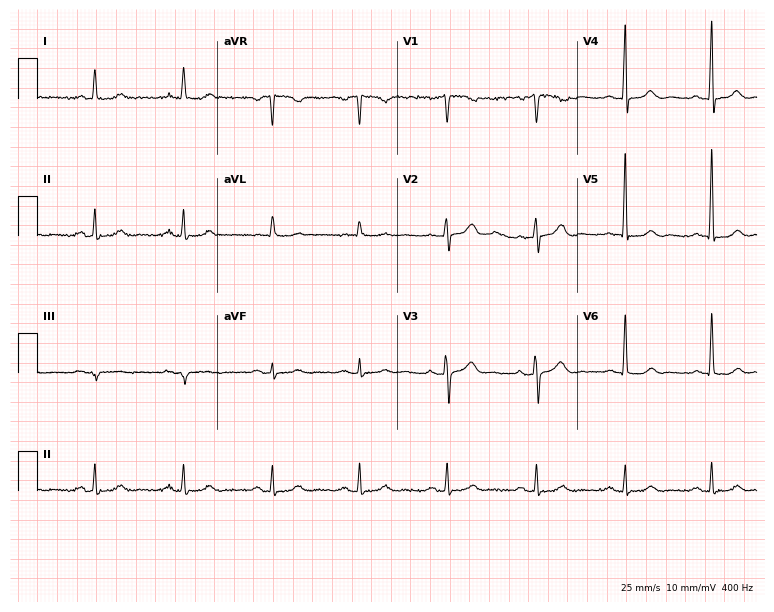
Resting 12-lead electrocardiogram (7.3-second recording at 400 Hz). Patient: a female, 72 years old. Read as a normal ECG.